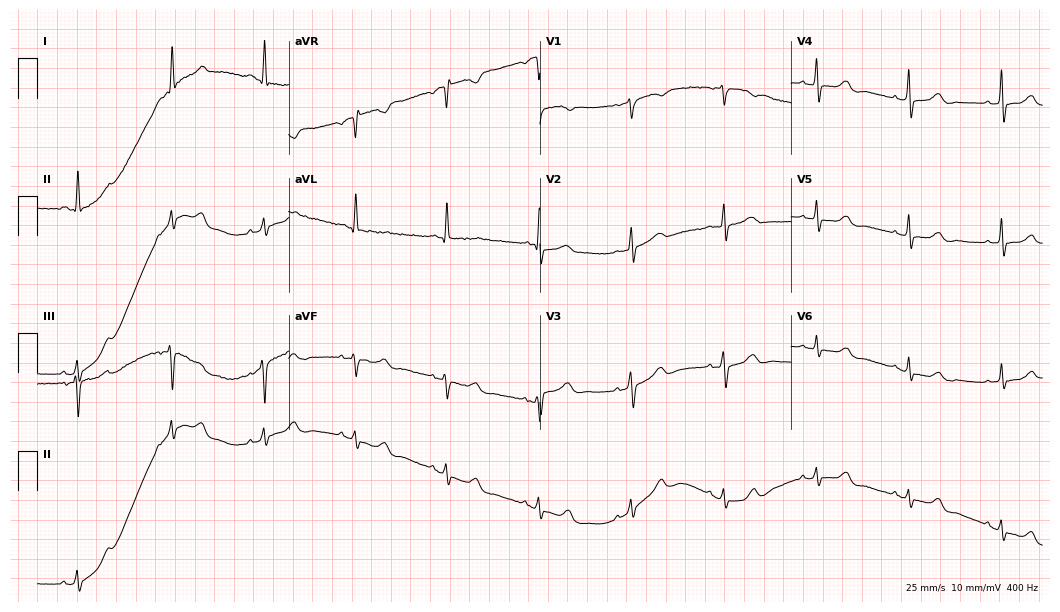
ECG — a female, 53 years old. Labelled as a normal ECG.